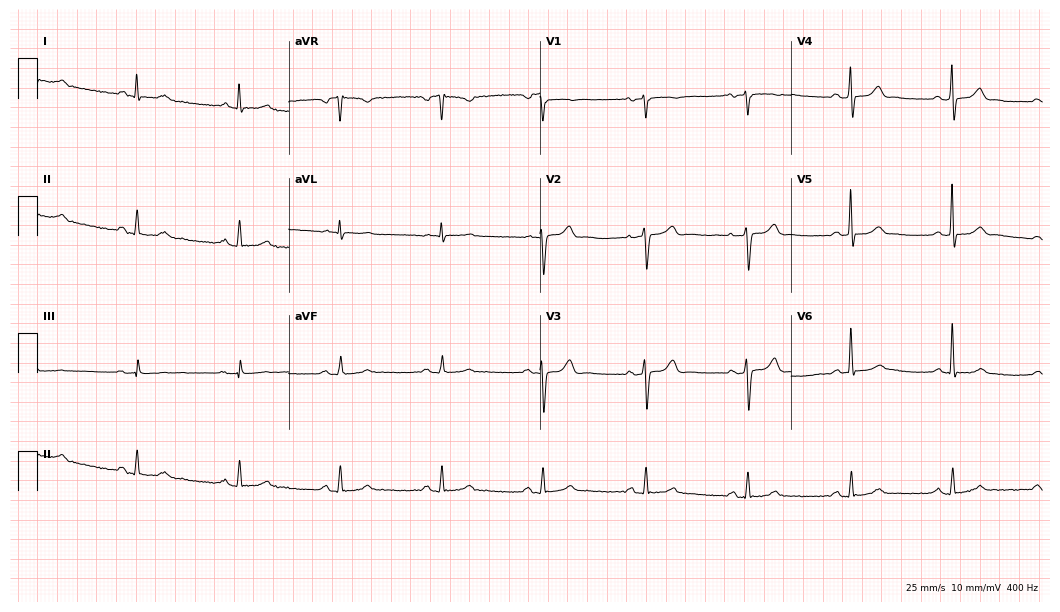
Electrocardiogram, a 61-year-old male patient. Overall reading on record: normal ECG.